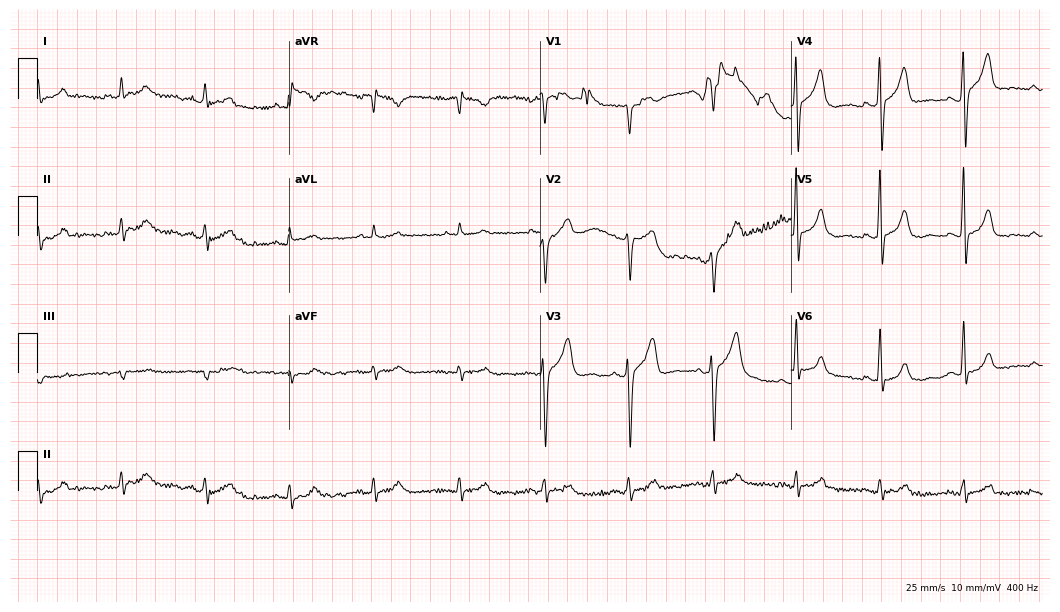
12-lead ECG from a male, 67 years old. No first-degree AV block, right bundle branch block, left bundle branch block, sinus bradycardia, atrial fibrillation or sinus tachycardia recorded for this tracing. Findings outside these six are not listed.